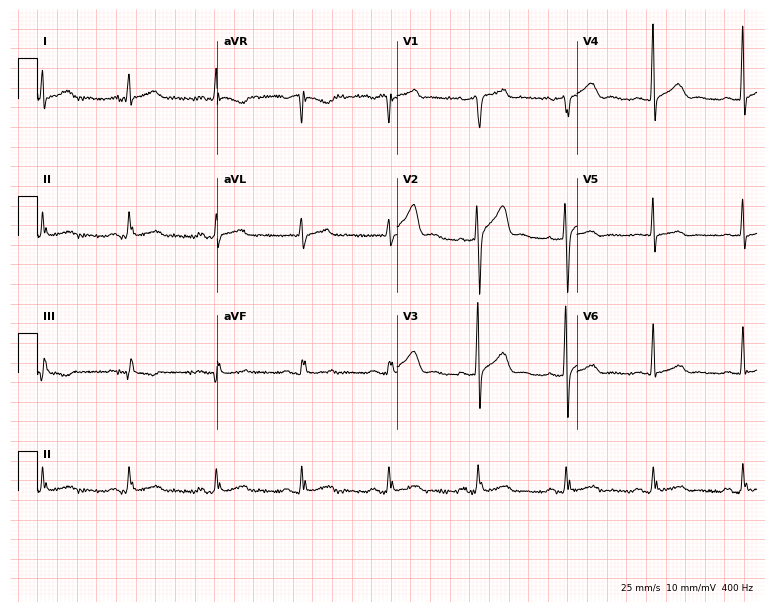
Resting 12-lead electrocardiogram (7.3-second recording at 400 Hz). Patient: a 56-year-old male. None of these six findings is recorded: first-degree AV block, right bundle branch block (RBBB), left bundle branch block (LBBB), sinus bradycardia, atrial fibrillation (AF), sinus tachycardia.